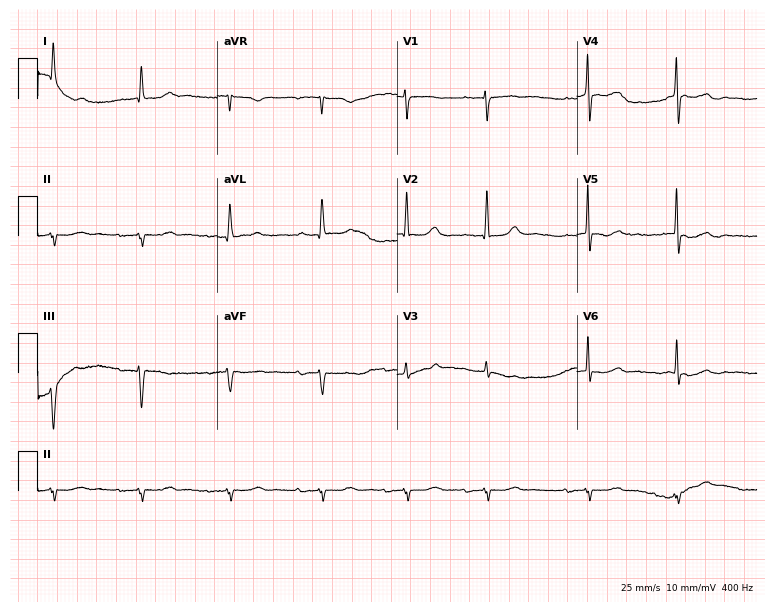
12-lead ECG from a male patient, 77 years old. No first-degree AV block, right bundle branch block (RBBB), left bundle branch block (LBBB), sinus bradycardia, atrial fibrillation (AF) or sinus tachycardia recorded for this tracing. Other findings, if any, are not listed.